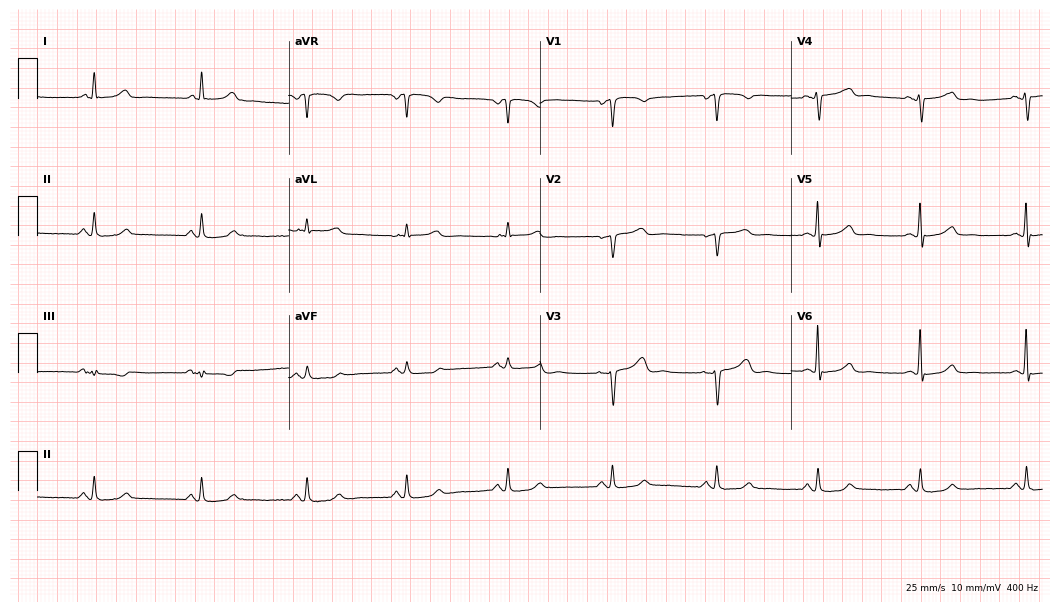
Standard 12-lead ECG recorded from a female, 49 years old. Read as a normal ECG.